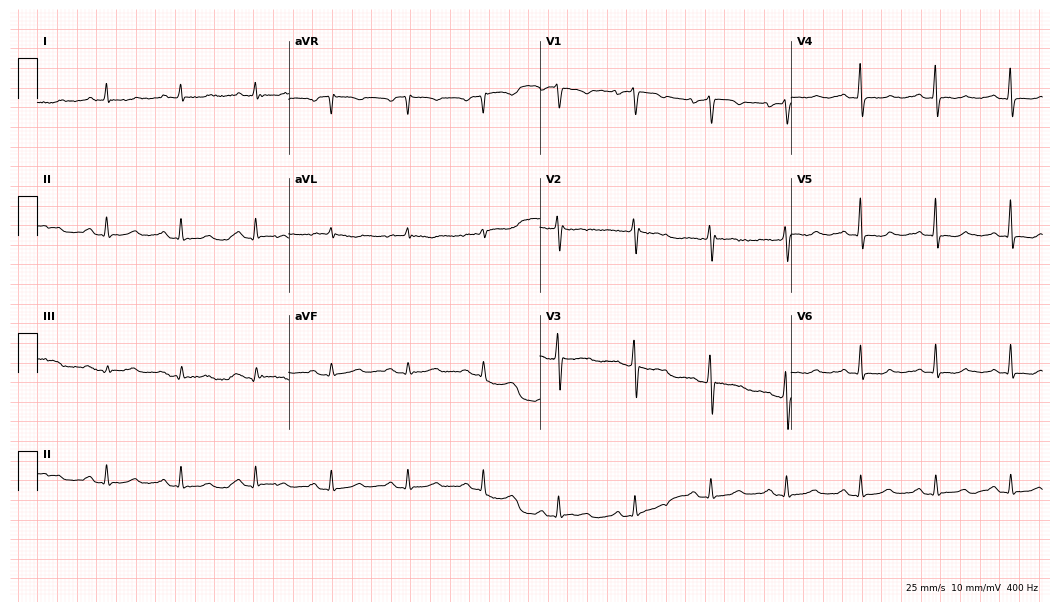
ECG — a female, 59 years old. Labelled as a normal ECG.